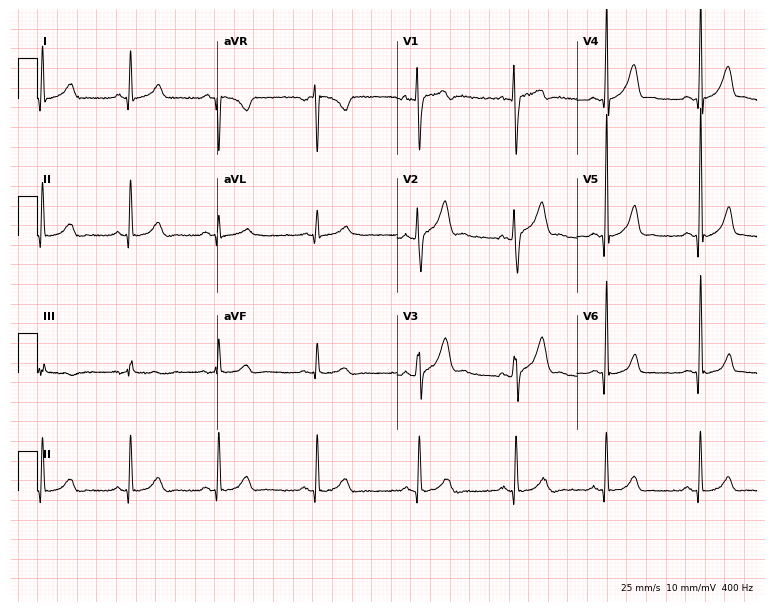
ECG (7.3-second recording at 400 Hz) — a 27-year-old male. Screened for six findings — first-degree AV block, right bundle branch block (RBBB), left bundle branch block (LBBB), sinus bradycardia, atrial fibrillation (AF), sinus tachycardia — none is recorded.